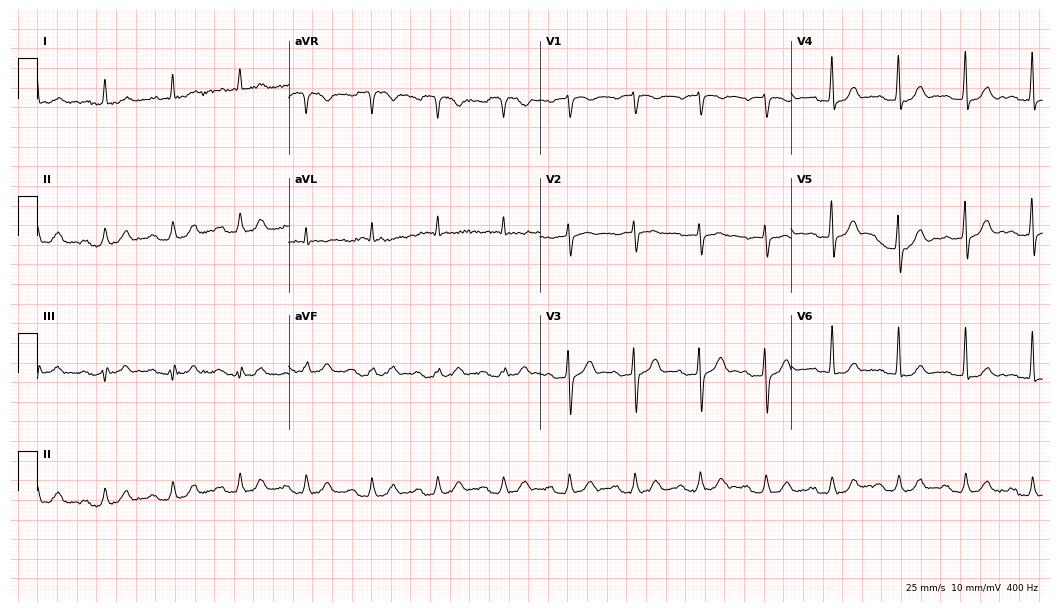
12-lead ECG (10.2-second recording at 400 Hz) from a man, 69 years old. Findings include first-degree AV block.